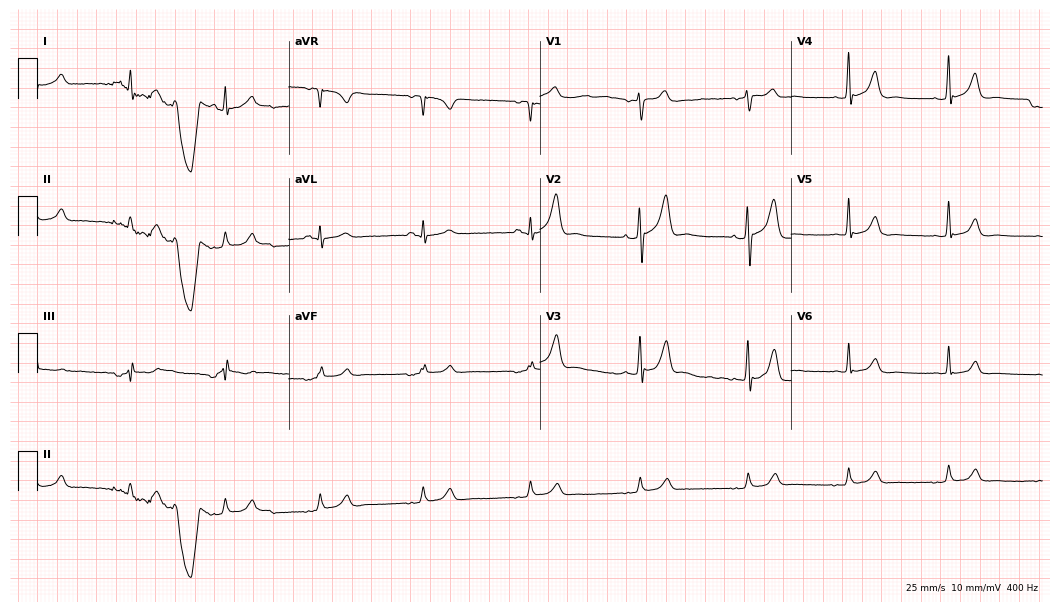
Standard 12-lead ECG recorded from a 41-year-old male (10.2-second recording at 400 Hz). None of these six findings is recorded: first-degree AV block, right bundle branch block, left bundle branch block, sinus bradycardia, atrial fibrillation, sinus tachycardia. Other findings, if any, are not listed.